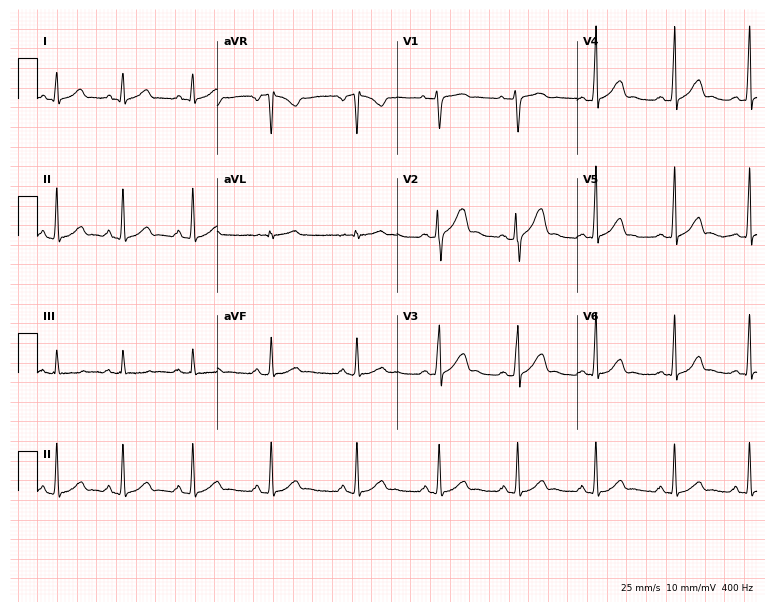
12-lead ECG from a woman, 29 years old. No first-degree AV block, right bundle branch block (RBBB), left bundle branch block (LBBB), sinus bradycardia, atrial fibrillation (AF) or sinus tachycardia recorded for this tracing.